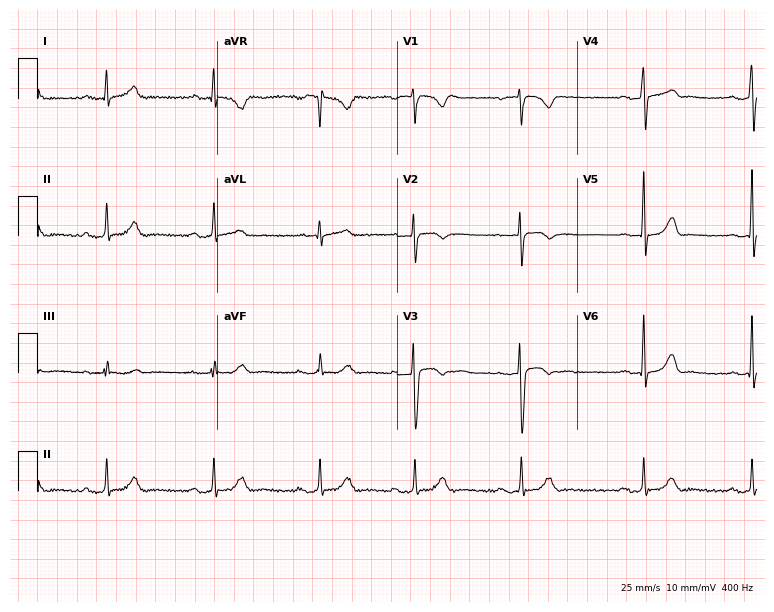
12-lead ECG (7.3-second recording at 400 Hz) from a female, 29 years old. Screened for six findings — first-degree AV block, right bundle branch block (RBBB), left bundle branch block (LBBB), sinus bradycardia, atrial fibrillation (AF), sinus tachycardia — none is recorded. Findings outside these six are not listed.